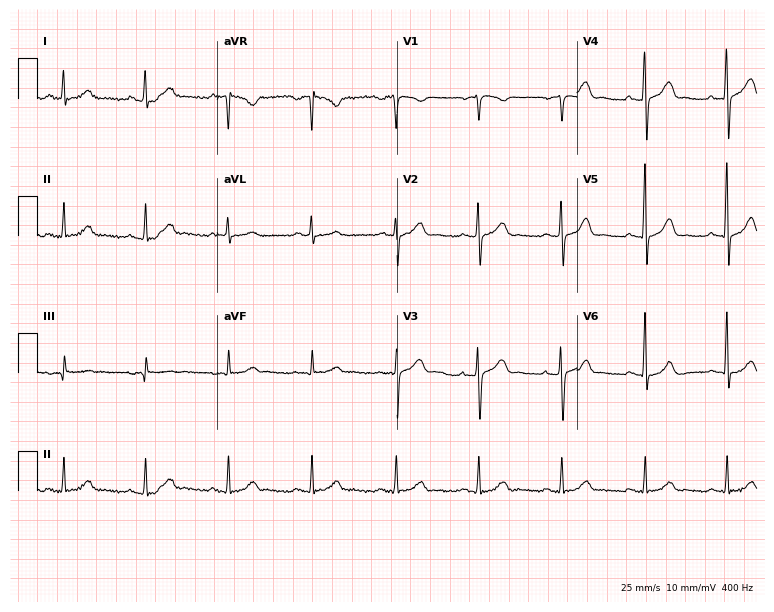
Resting 12-lead electrocardiogram. Patient: a man, 69 years old. Read as a normal ECG.